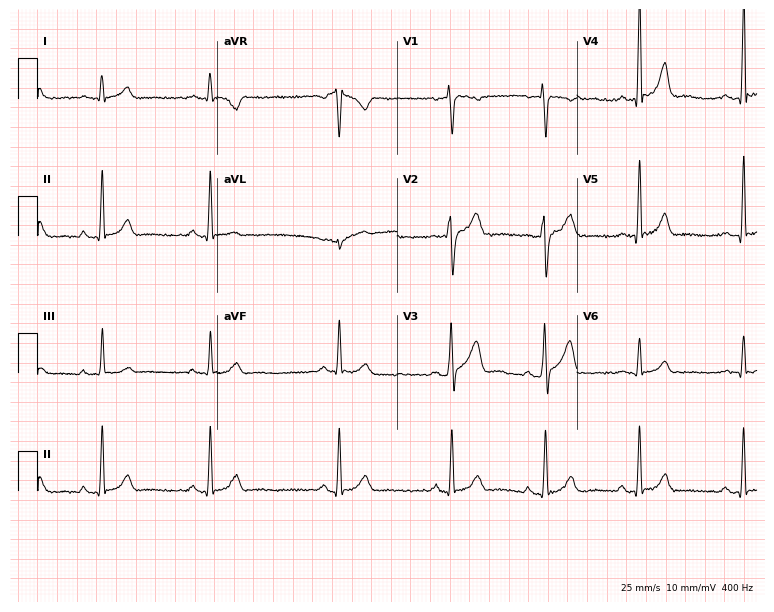
Resting 12-lead electrocardiogram (7.3-second recording at 400 Hz). Patient: a 17-year-old man. Read as a normal ECG.